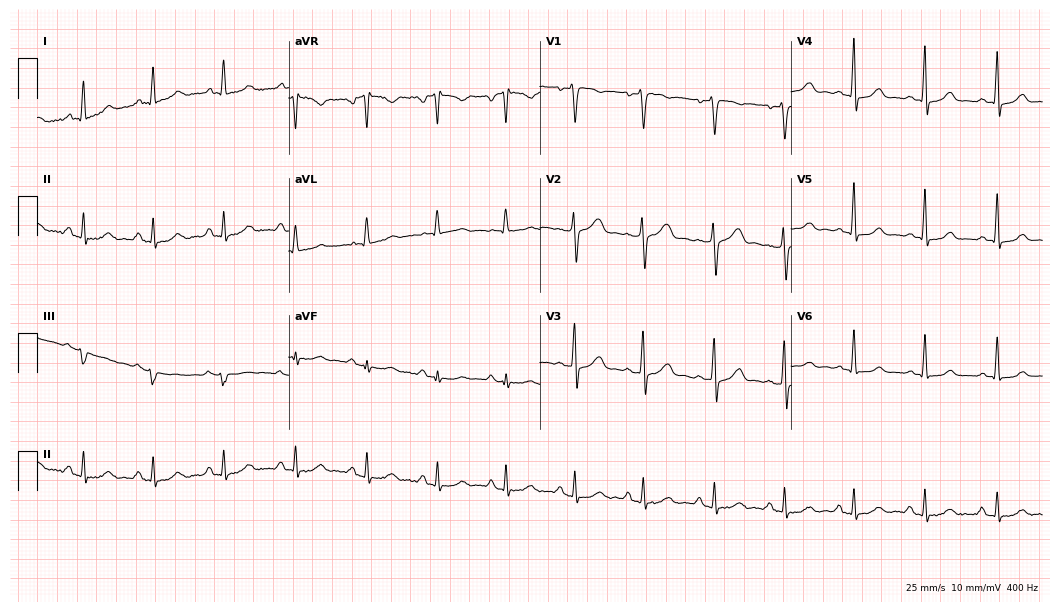
ECG — a 43-year-old female patient. Screened for six findings — first-degree AV block, right bundle branch block, left bundle branch block, sinus bradycardia, atrial fibrillation, sinus tachycardia — none is recorded. Findings outside these six are not listed.